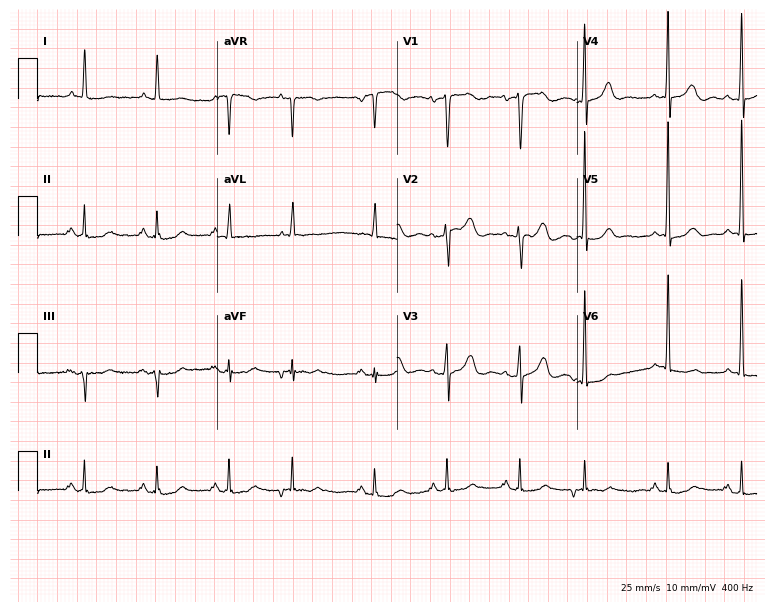
12-lead ECG from a woman, 83 years old. Recorded interpretation: within normal limits.